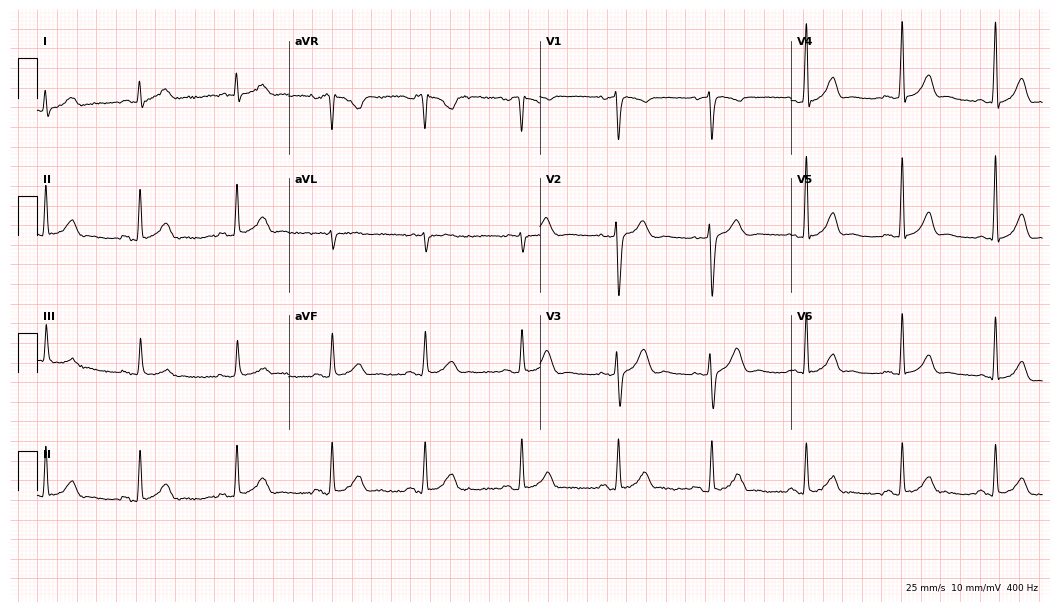
12-lead ECG from a 36-year-old male patient. Recorded interpretation: within normal limits.